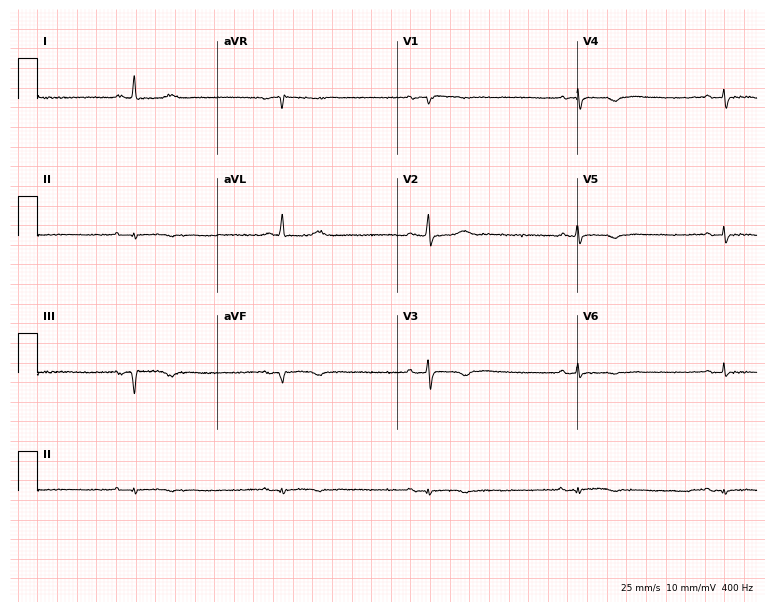
12-lead ECG from a 74-year-old female patient. Shows sinus bradycardia (a sinus rate of 50 beats per minute or less).